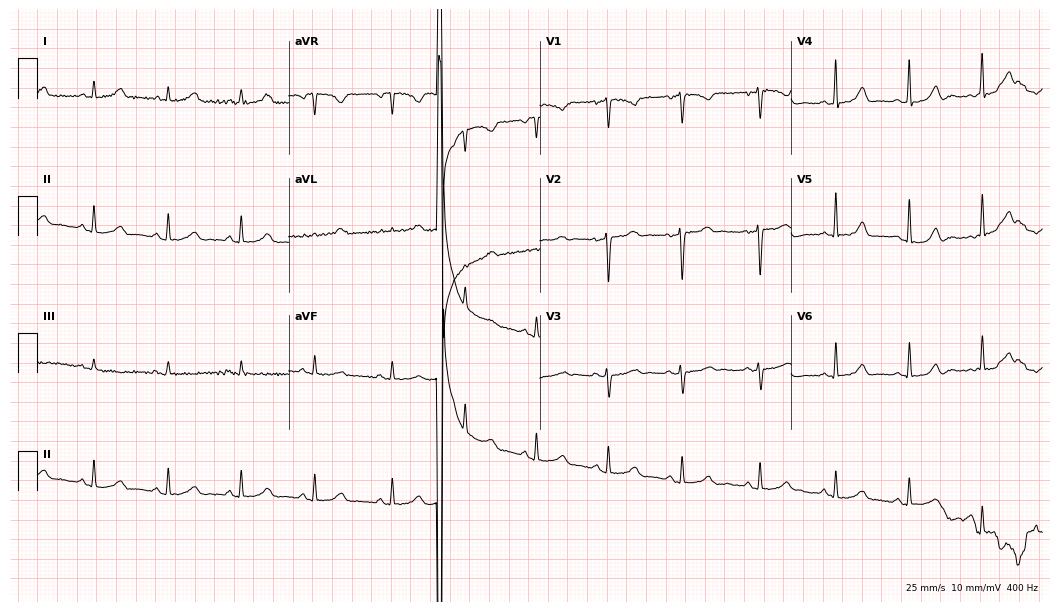
Resting 12-lead electrocardiogram (10.2-second recording at 400 Hz). Patient: a female, 46 years old. Read as a normal ECG.